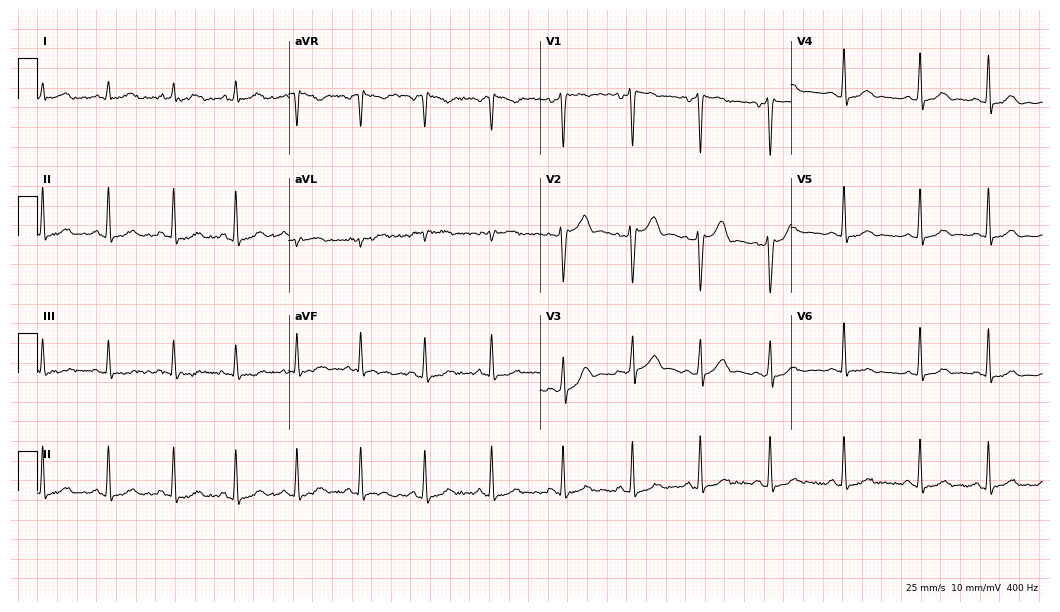
12-lead ECG from a man, 28 years old. Recorded interpretation: within normal limits.